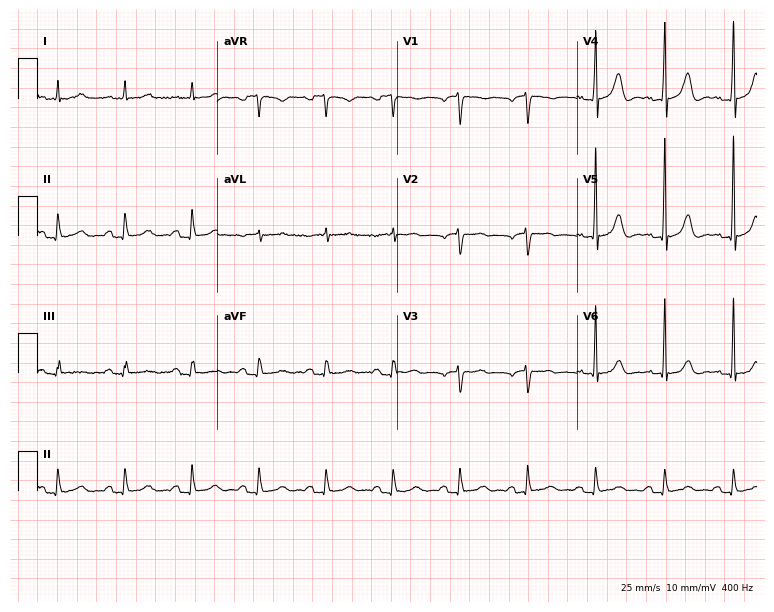
12-lead ECG from a 62-year-old male patient. Screened for six findings — first-degree AV block, right bundle branch block, left bundle branch block, sinus bradycardia, atrial fibrillation, sinus tachycardia — none is recorded. Other findings, if any, are not listed.